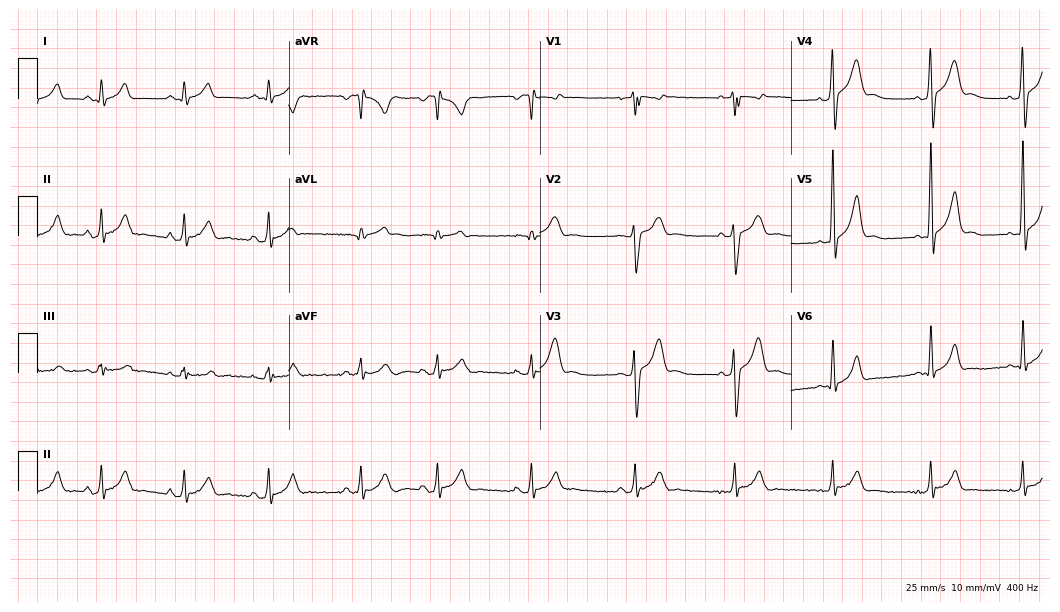
Electrocardiogram, a 19-year-old man. Overall reading on record: normal ECG.